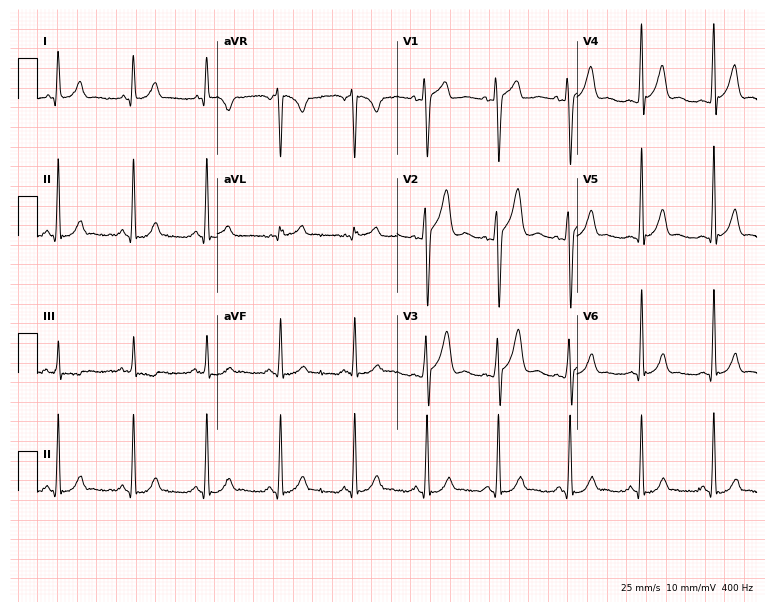
12-lead ECG from a man, 22 years old (7.3-second recording at 400 Hz). Recorded interpretation: within normal limits.